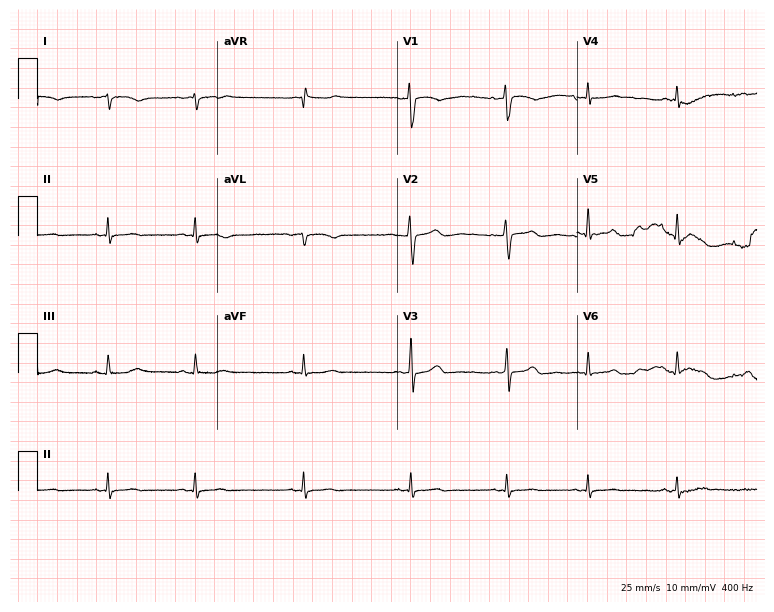
Resting 12-lead electrocardiogram (7.3-second recording at 400 Hz). Patient: a 32-year-old woman. None of these six findings is recorded: first-degree AV block, right bundle branch block, left bundle branch block, sinus bradycardia, atrial fibrillation, sinus tachycardia. Other findings, if any, are not listed.